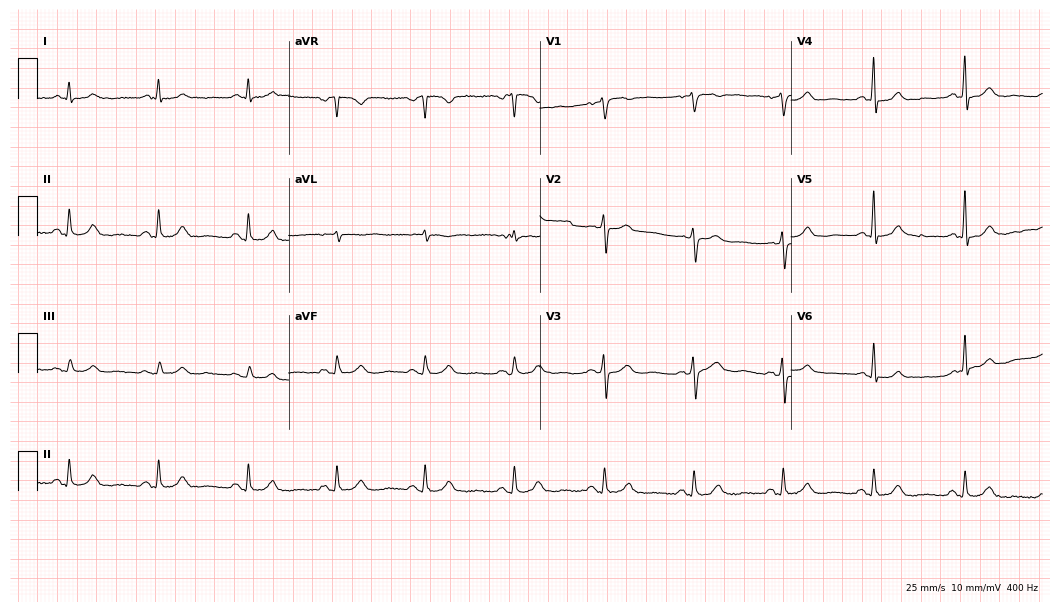
Electrocardiogram, a 71-year-old man. Overall reading on record: normal ECG.